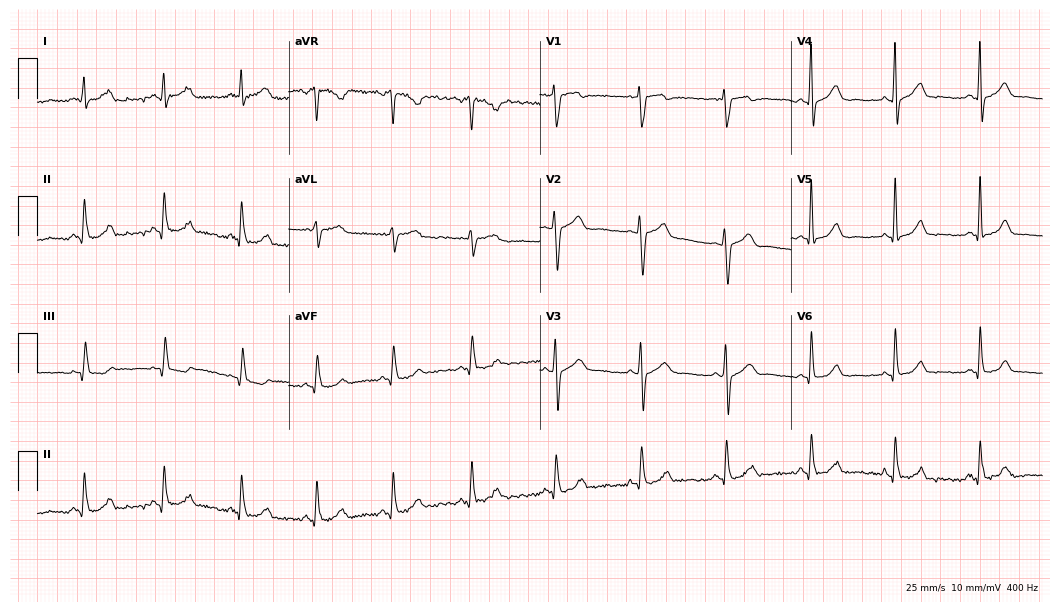
12-lead ECG from a female, 37 years old (10.2-second recording at 400 Hz). Recorded interpretation: within normal limits.